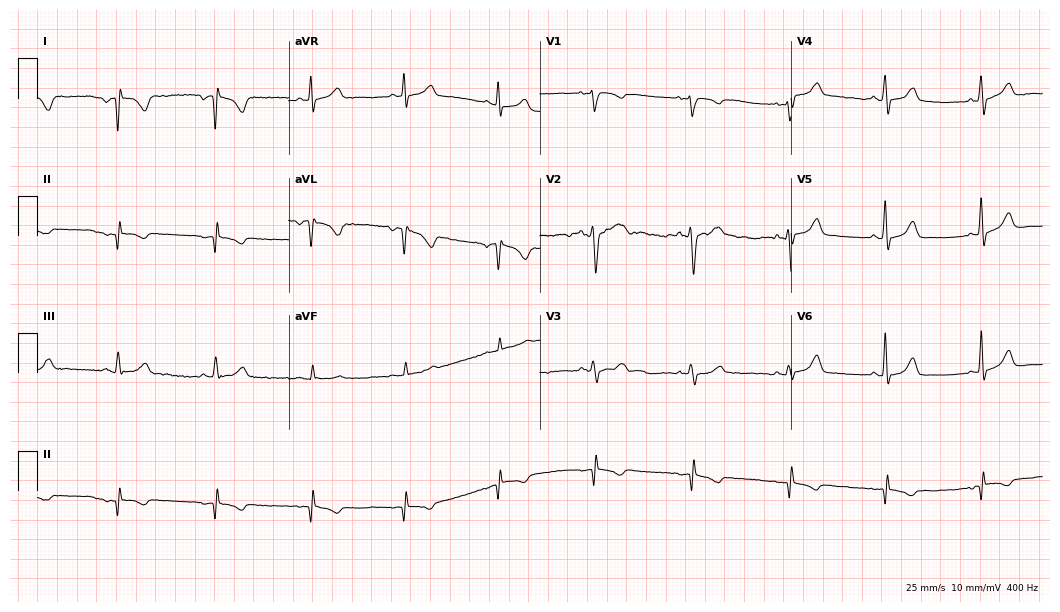
Resting 12-lead electrocardiogram (10.2-second recording at 400 Hz). Patient: a 55-year-old man. None of these six findings is recorded: first-degree AV block, right bundle branch block, left bundle branch block, sinus bradycardia, atrial fibrillation, sinus tachycardia. Other findings, if any, are not listed.